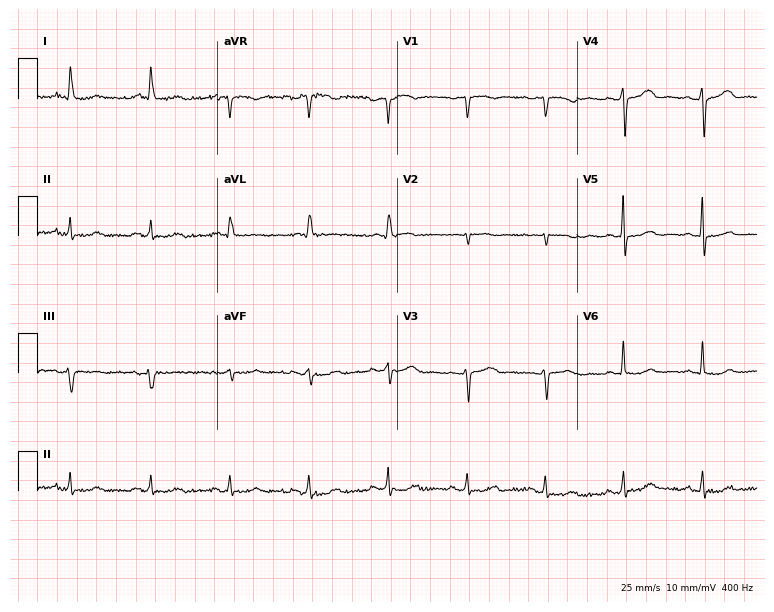
ECG — a 64-year-old female. Screened for six findings — first-degree AV block, right bundle branch block, left bundle branch block, sinus bradycardia, atrial fibrillation, sinus tachycardia — none is recorded. Only these six findings were labelled.